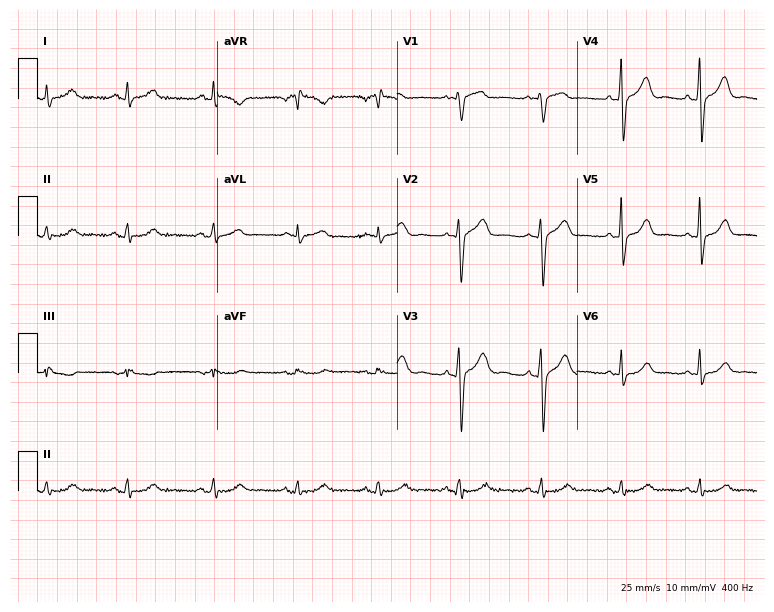
Resting 12-lead electrocardiogram (7.3-second recording at 400 Hz). Patient: a female, 42 years old. Read as a normal ECG.